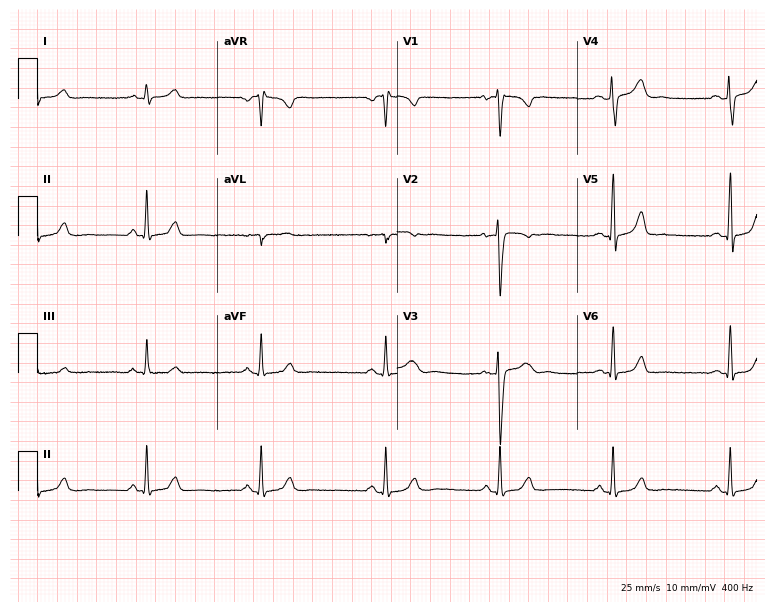
12-lead ECG from a female patient, 36 years old. Labelled as a normal ECG.